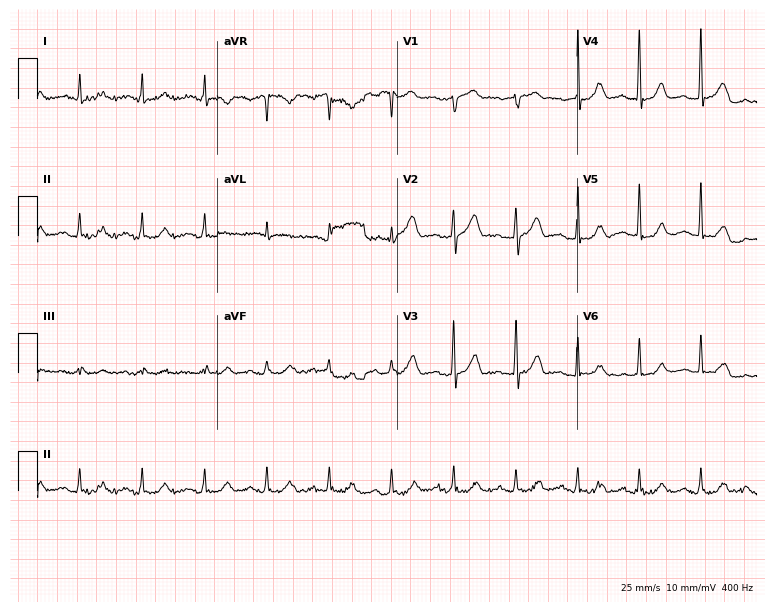
12-lead ECG from a 62-year-old male patient. No first-degree AV block, right bundle branch block, left bundle branch block, sinus bradycardia, atrial fibrillation or sinus tachycardia recorded for this tracing. Other findings, if any, are not listed.